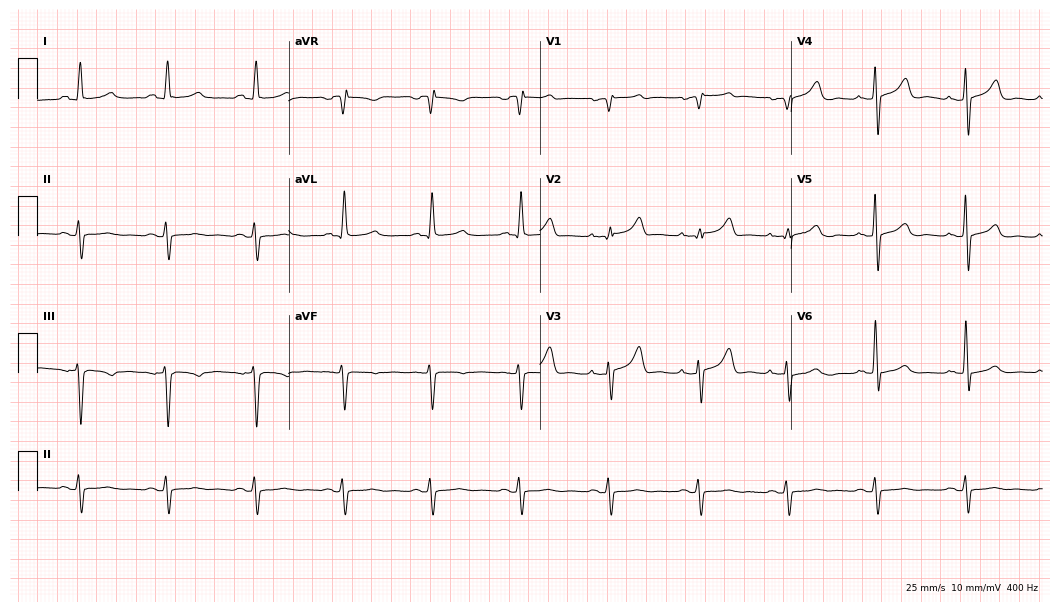
12-lead ECG (10.2-second recording at 400 Hz) from a 78-year-old male. Screened for six findings — first-degree AV block, right bundle branch block (RBBB), left bundle branch block (LBBB), sinus bradycardia, atrial fibrillation (AF), sinus tachycardia — none is recorded. Other findings, if any, are not listed.